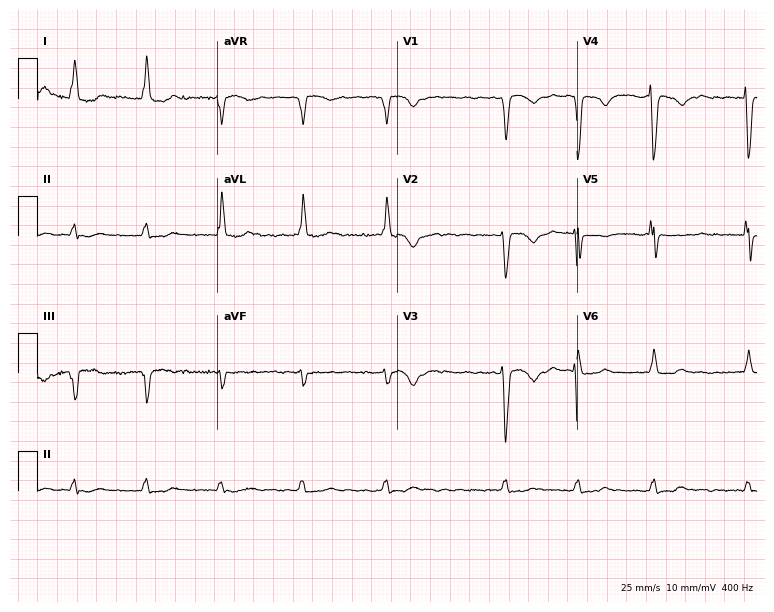
Standard 12-lead ECG recorded from a 72-year-old female (7.3-second recording at 400 Hz). None of these six findings is recorded: first-degree AV block, right bundle branch block, left bundle branch block, sinus bradycardia, atrial fibrillation, sinus tachycardia. Findings outside these six are not listed.